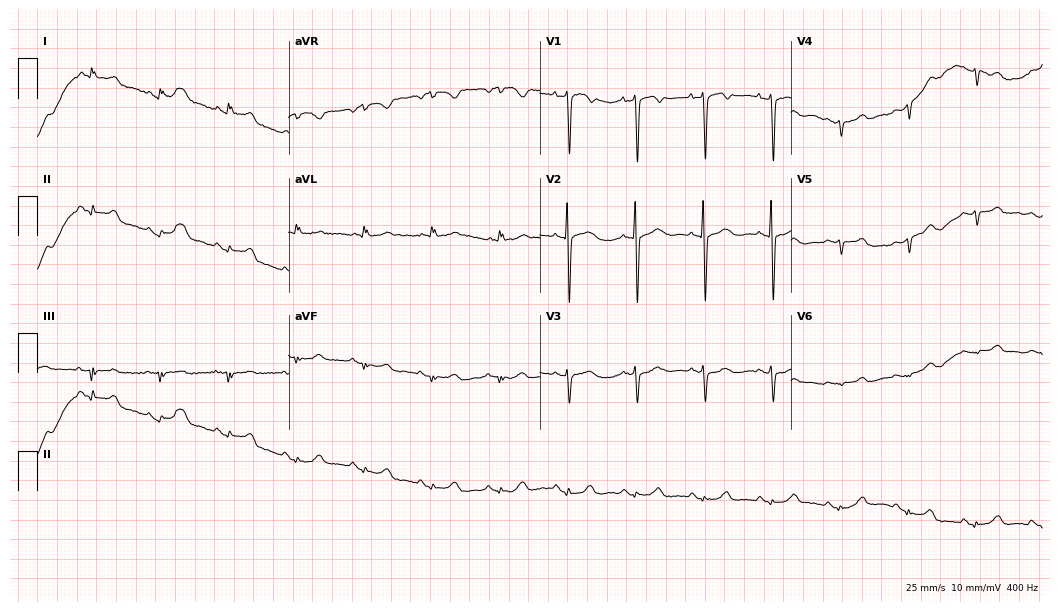
ECG (10.2-second recording at 400 Hz) — a female patient, 79 years old. Screened for six findings — first-degree AV block, right bundle branch block (RBBB), left bundle branch block (LBBB), sinus bradycardia, atrial fibrillation (AF), sinus tachycardia — none is recorded. Only these six findings were labelled.